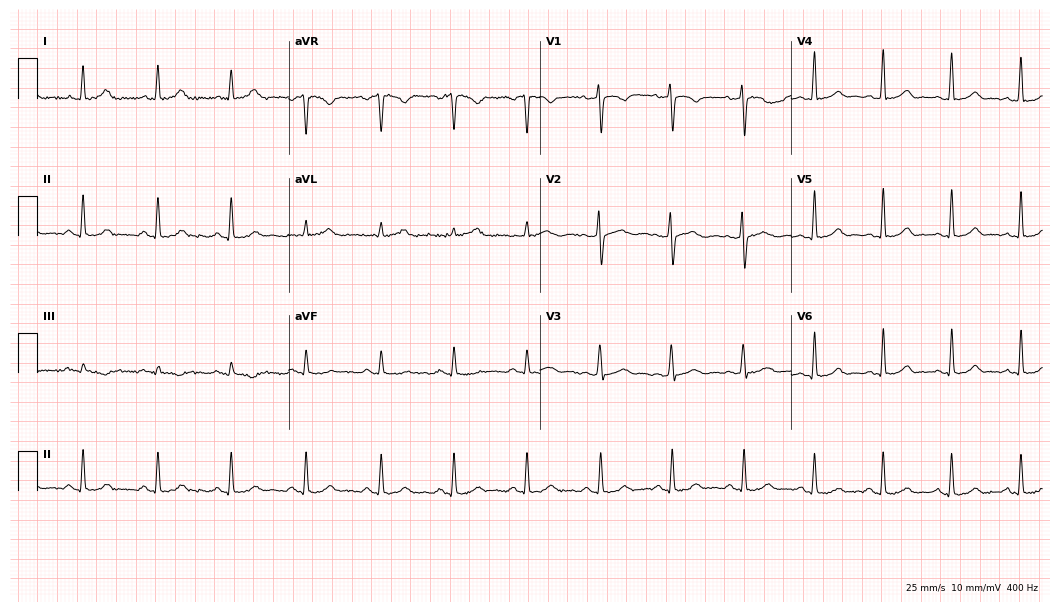
Electrocardiogram (10.2-second recording at 400 Hz), a woman, 27 years old. Of the six screened findings (first-degree AV block, right bundle branch block, left bundle branch block, sinus bradycardia, atrial fibrillation, sinus tachycardia), none is recorded.